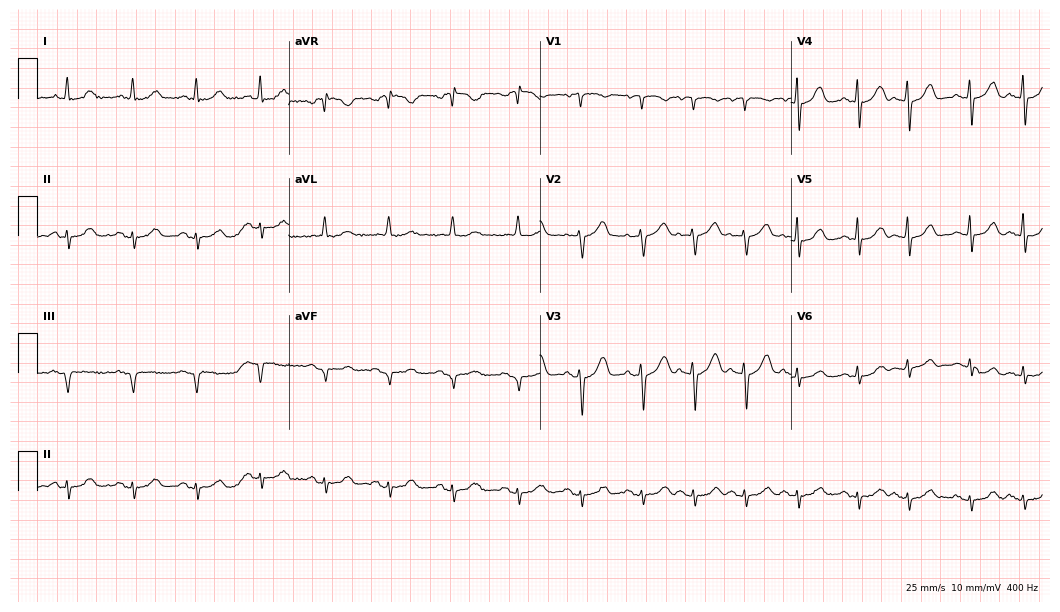
12-lead ECG from an 80-year-old female patient. Screened for six findings — first-degree AV block, right bundle branch block (RBBB), left bundle branch block (LBBB), sinus bradycardia, atrial fibrillation (AF), sinus tachycardia — none is recorded.